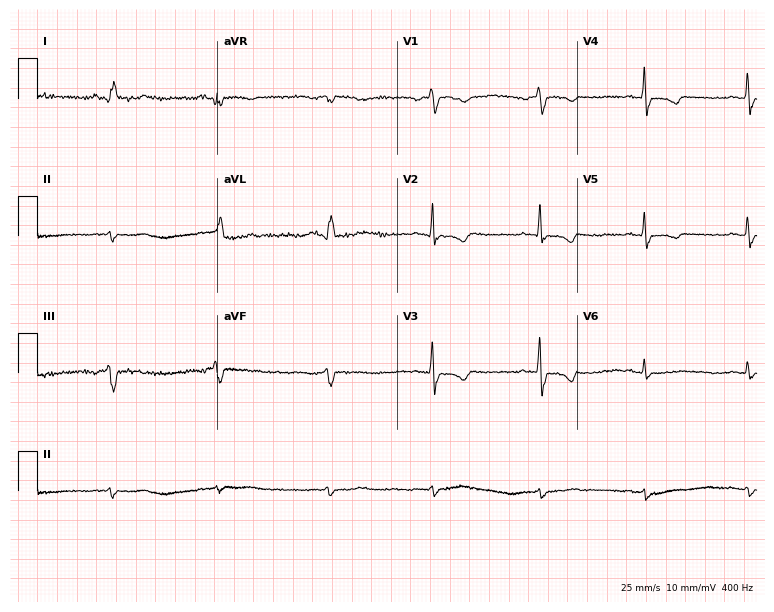
12-lead ECG from a 64-year-old female patient. No first-degree AV block, right bundle branch block, left bundle branch block, sinus bradycardia, atrial fibrillation or sinus tachycardia recorded for this tracing. Findings outside these six are not listed.